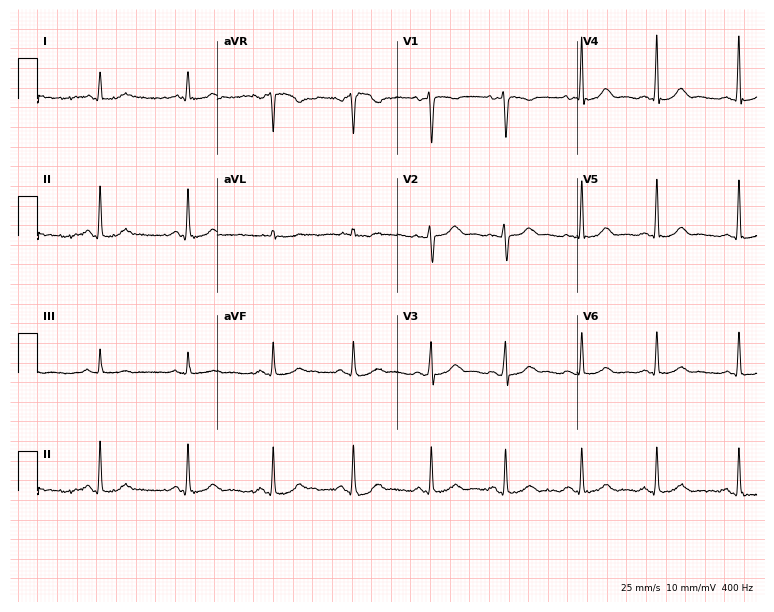
Resting 12-lead electrocardiogram. Patient: a 48-year-old woman. Read as a normal ECG.